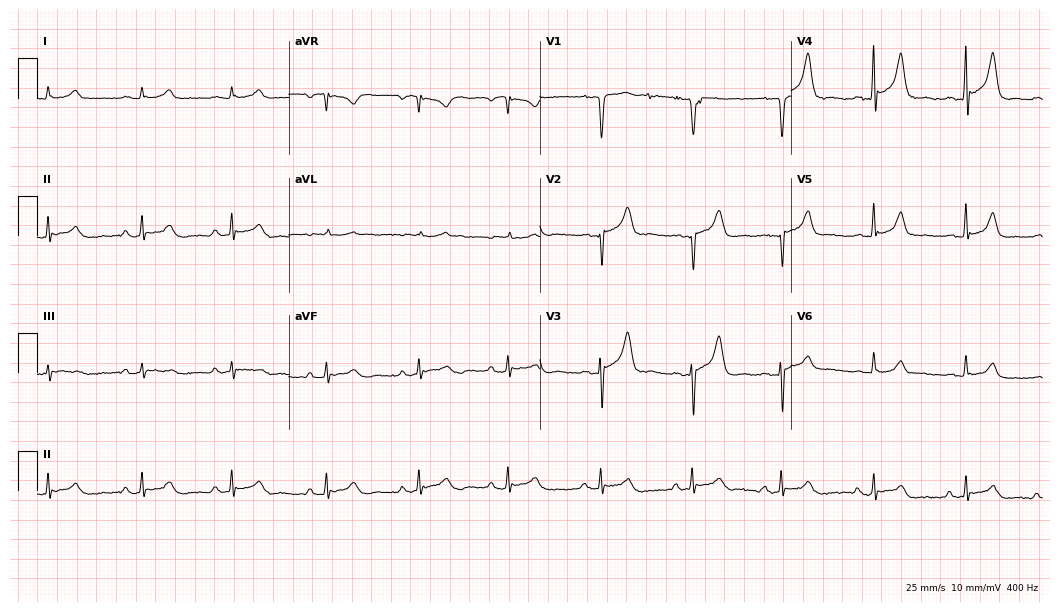
Electrocardiogram, a male, 54 years old. Of the six screened findings (first-degree AV block, right bundle branch block (RBBB), left bundle branch block (LBBB), sinus bradycardia, atrial fibrillation (AF), sinus tachycardia), none is recorded. Other findings, if any, are not listed.